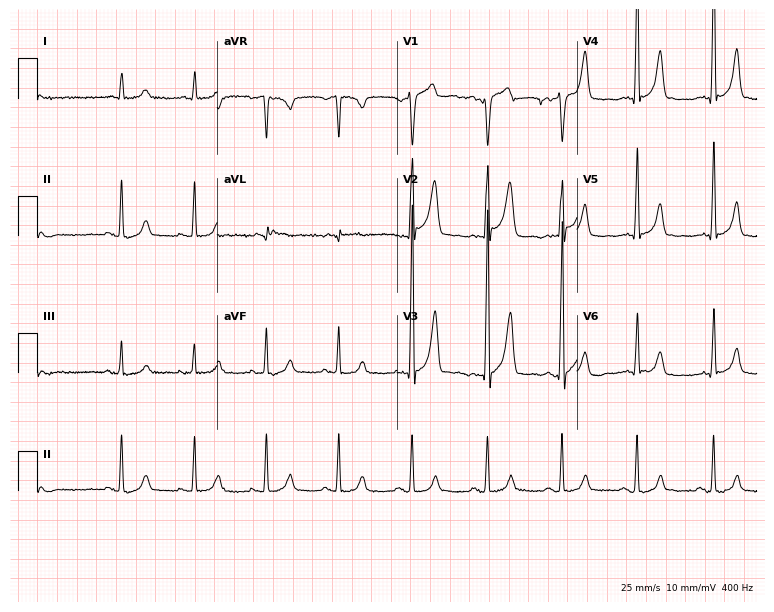
Electrocardiogram (7.3-second recording at 400 Hz), a 68-year-old man. Of the six screened findings (first-degree AV block, right bundle branch block, left bundle branch block, sinus bradycardia, atrial fibrillation, sinus tachycardia), none is recorded.